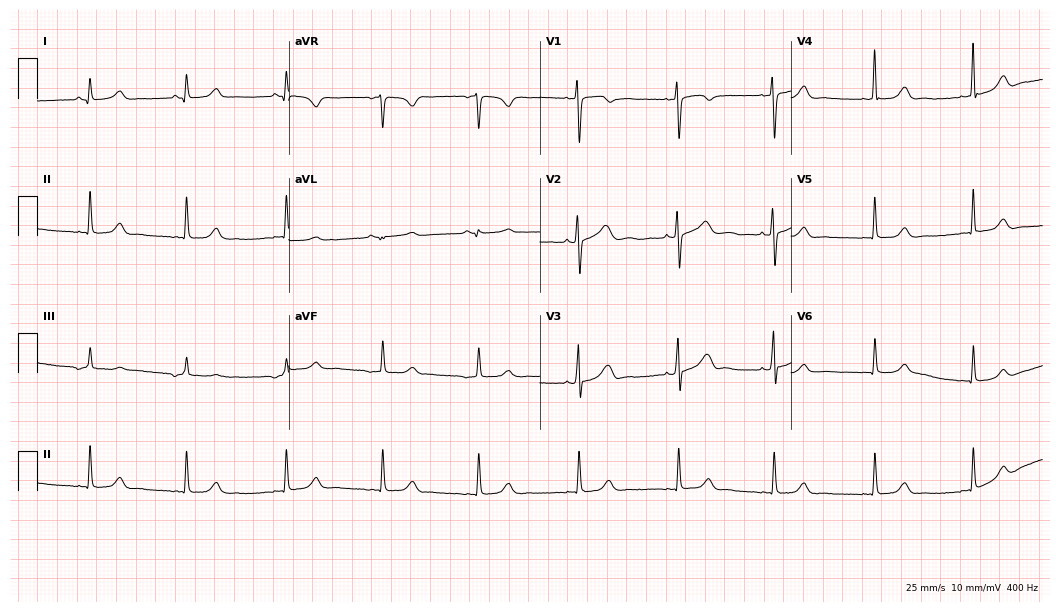
ECG (10.2-second recording at 400 Hz) — a 44-year-old female patient. Screened for six findings — first-degree AV block, right bundle branch block, left bundle branch block, sinus bradycardia, atrial fibrillation, sinus tachycardia — none is recorded. Findings outside these six are not listed.